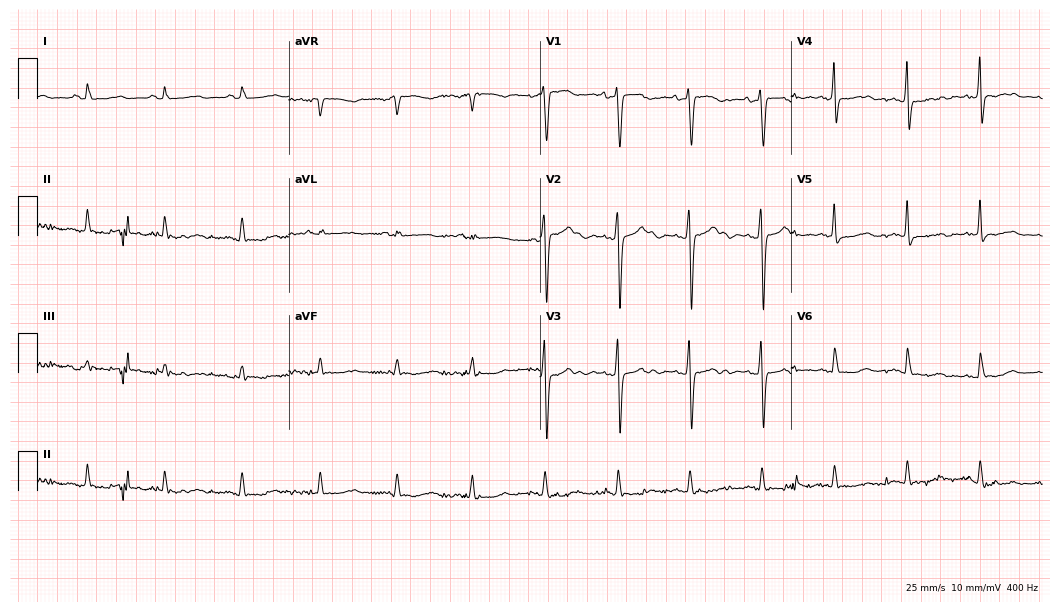
ECG — a female, 56 years old. Screened for six findings — first-degree AV block, right bundle branch block, left bundle branch block, sinus bradycardia, atrial fibrillation, sinus tachycardia — none is recorded. Other findings, if any, are not listed.